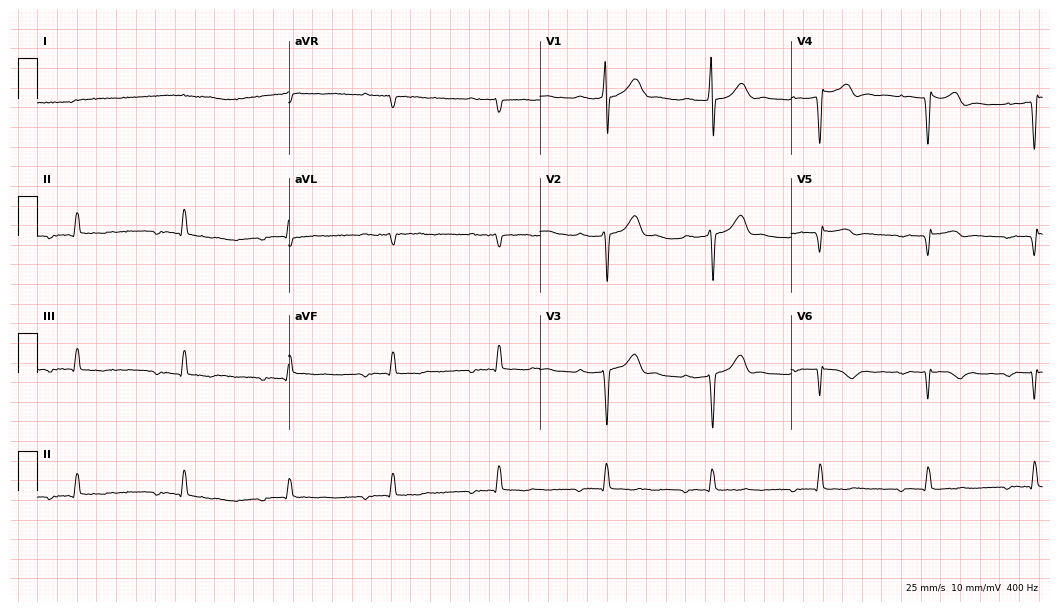
Electrocardiogram (10.2-second recording at 400 Hz), a male, 75 years old. Of the six screened findings (first-degree AV block, right bundle branch block (RBBB), left bundle branch block (LBBB), sinus bradycardia, atrial fibrillation (AF), sinus tachycardia), none is recorded. Only these six findings were labelled.